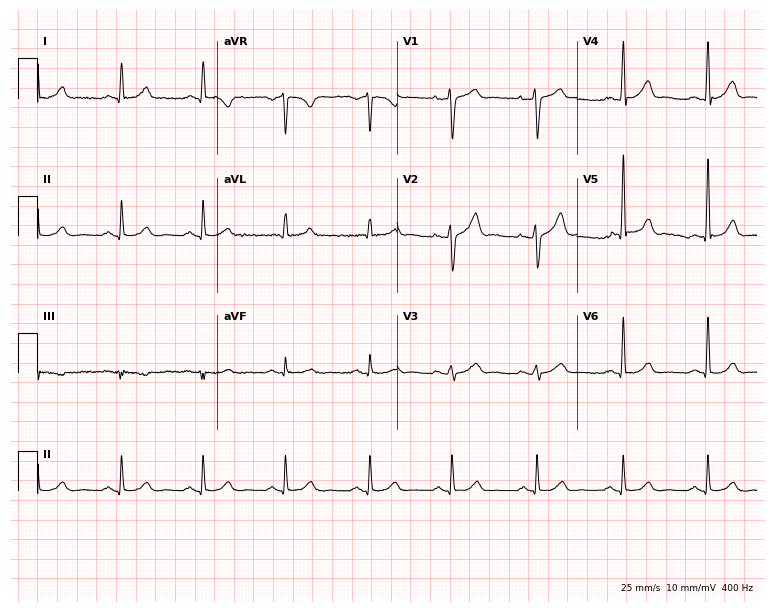
Standard 12-lead ECG recorded from a male, 53 years old (7.3-second recording at 400 Hz). None of these six findings is recorded: first-degree AV block, right bundle branch block, left bundle branch block, sinus bradycardia, atrial fibrillation, sinus tachycardia. Findings outside these six are not listed.